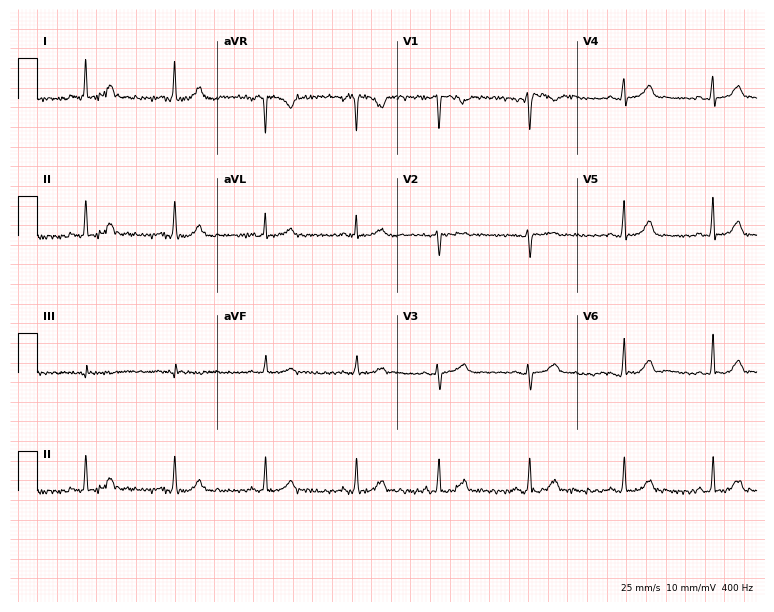
ECG — a 32-year-old female. Labelled as a normal ECG.